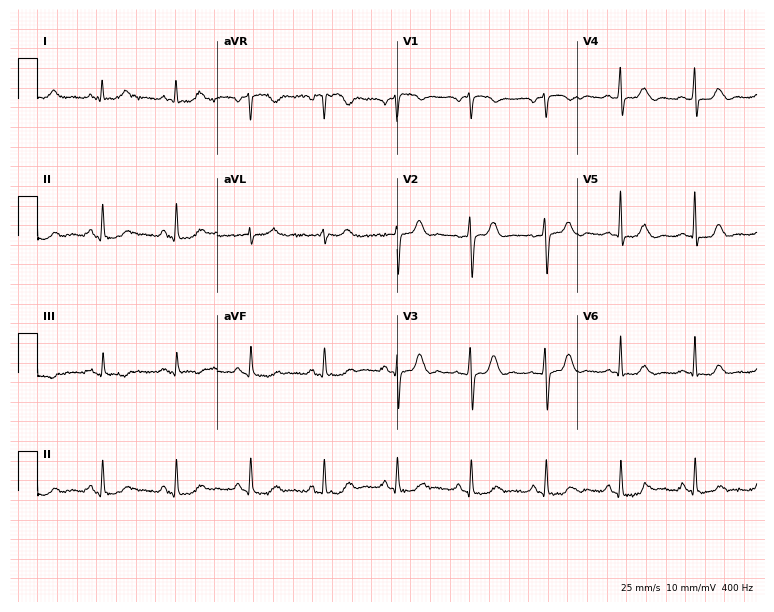
Standard 12-lead ECG recorded from a 58-year-old female patient. None of these six findings is recorded: first-degree AV block, right bundle branch block (RBBB), left bundle branch block (LBBB), sinus bradycardia, atrial fibrillation (AF), sinus tachycardia. Only these six findings were labelled.